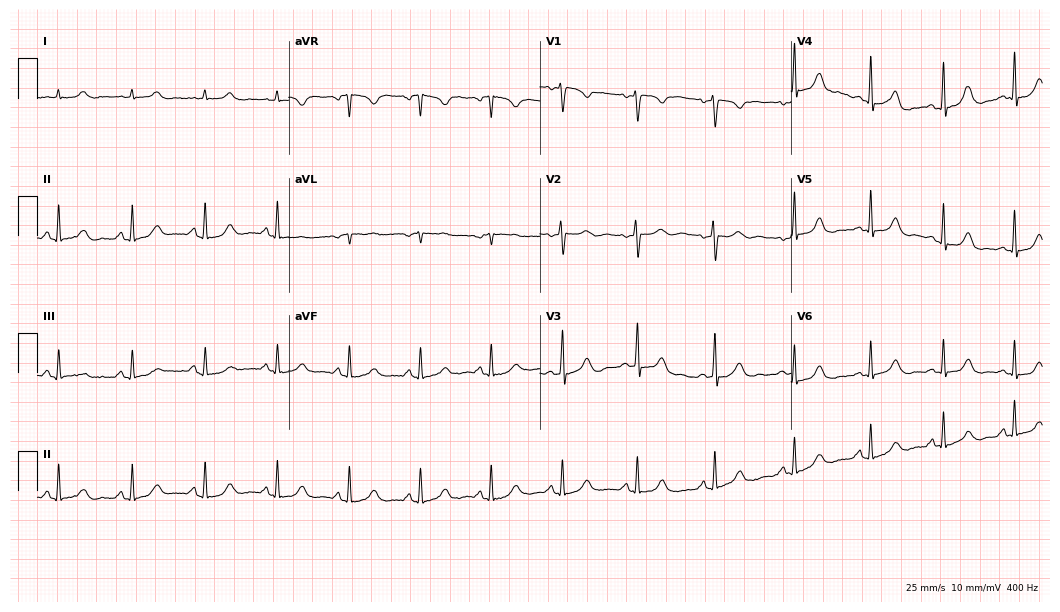
ECG (10.2-second recording at 400 Hz) — a 38-year-old woman. Labelled as a normal ECG.